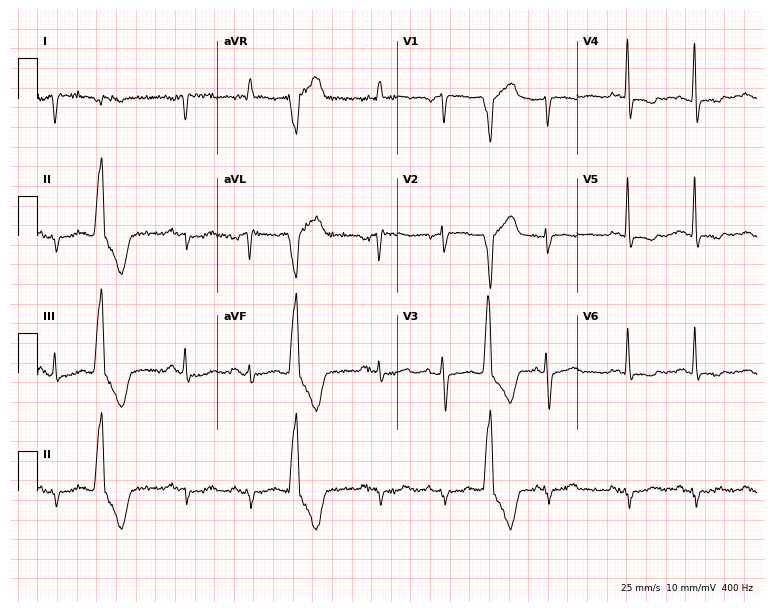
Standard 12-lead ECG recorded from a male patient, 76 years old. None of these six findings is recorded: first-degree AV block, right bundle branch block (RBBB), left bundle branch block (LBBB), sinus bradycardia, atrial fibrillation (AF), sinus tachycardia. Findings outside these six are not listed.